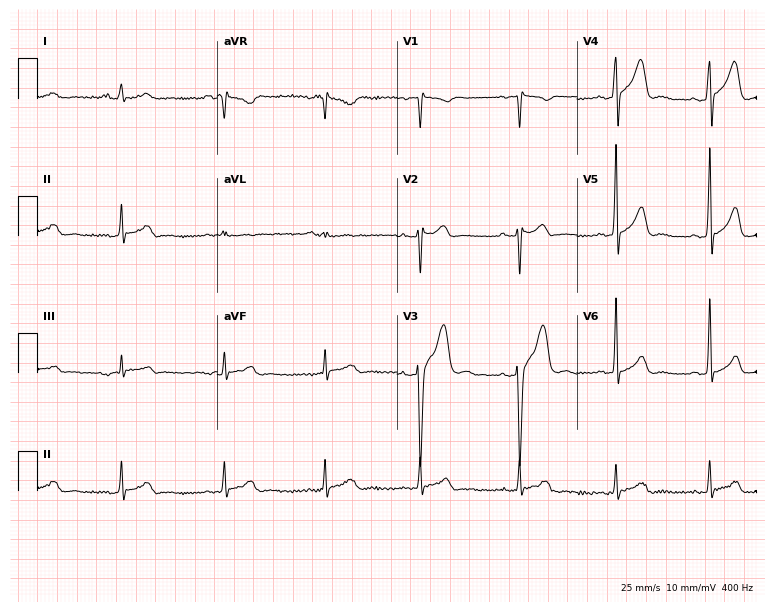
12-lead ECG from a male patient, 30 years old. No first-degree AV block, right bundle branch block (RBBB), left bundle branch block (LBBB), sinus bradycardia, atrial fibrillation (AF) or sinus tachycardia recorded for this tracing. Findings outside these six are not listed.